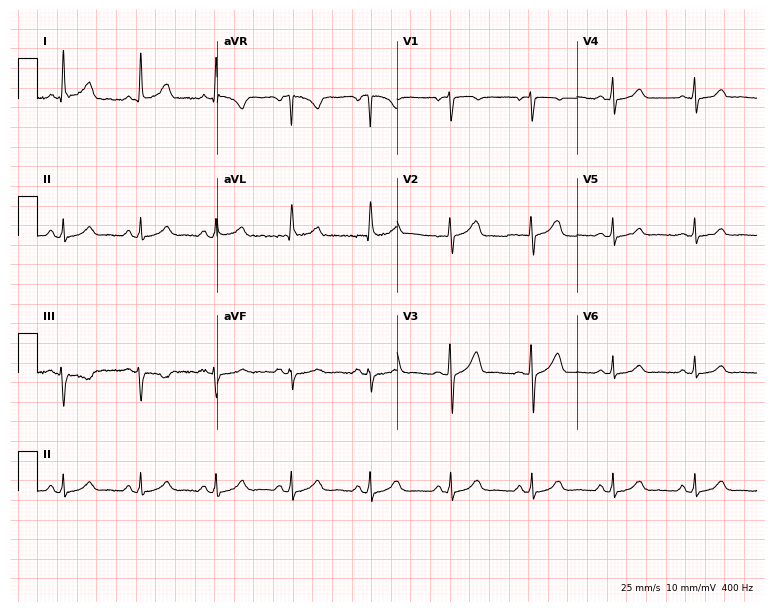
Resting 12-lead electrocardiogram. Patient: a 64-year-old female. Read as a normal ECG.